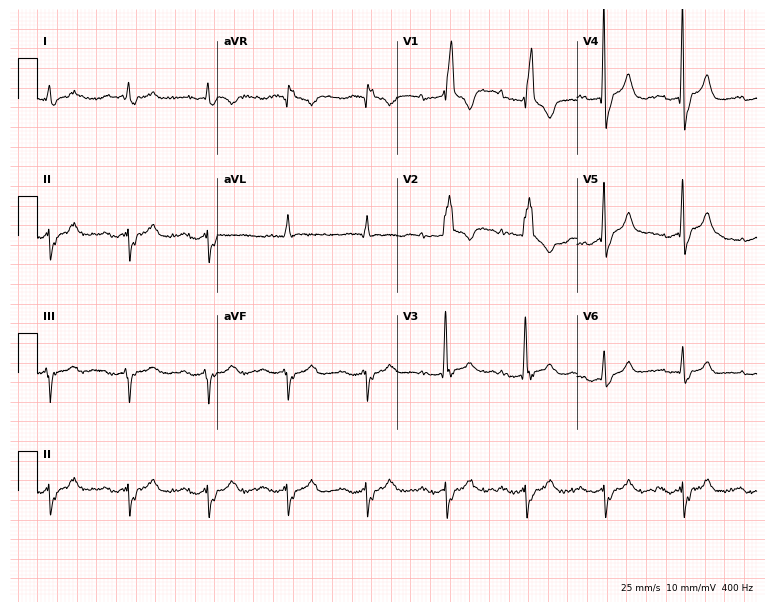
ECG — a man, 76 years old. Findings include first-degree AV block, right bundle branch block.